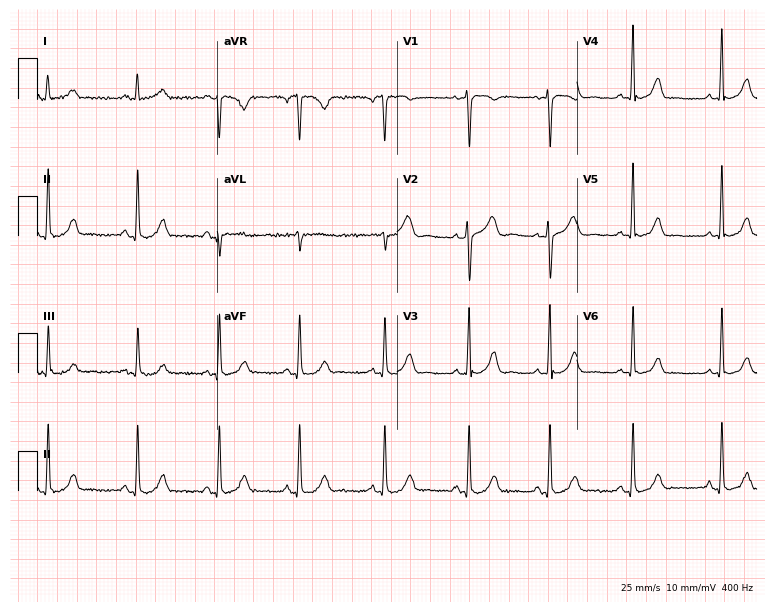
12-lead ECG from a 29-year-old woman. Labelled as a normal ECG.